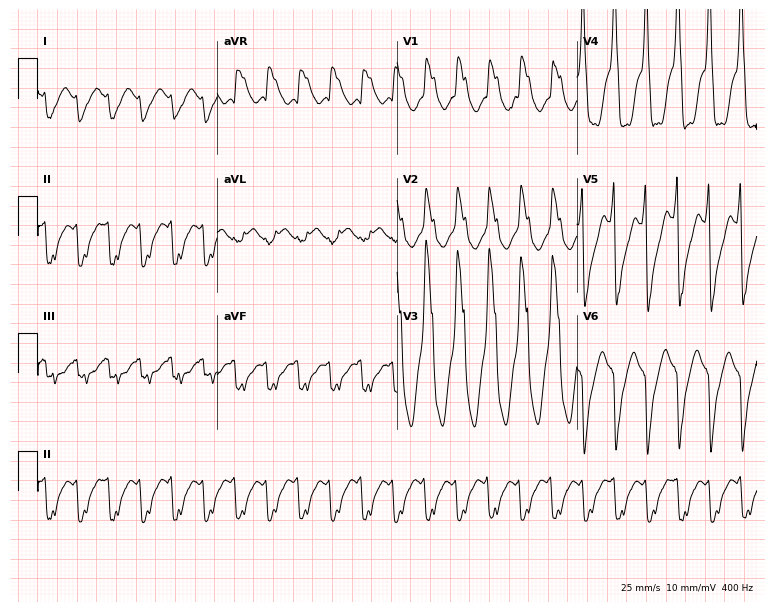
12-lead ECG (7.3-second recording at 400 Hz) from a male patient, 61 years old. Screened for six findings — first-degree AV block, right bundle branch block, left bundle branch block, sinus bradycardia, atrial fibrillation, sinus tachycardia — none is recorded.